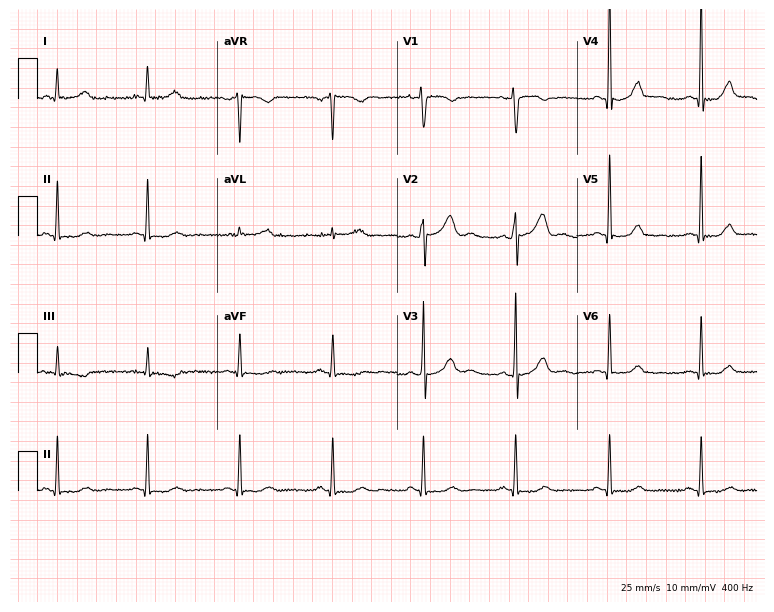
12-lead ECG from a 61-year-old woman. No first-degree AV block, right bundle branch block, left bundle branch block, sinus bradycardia, atrial fibrillation or sinus tachycardia recorded for this tracing.